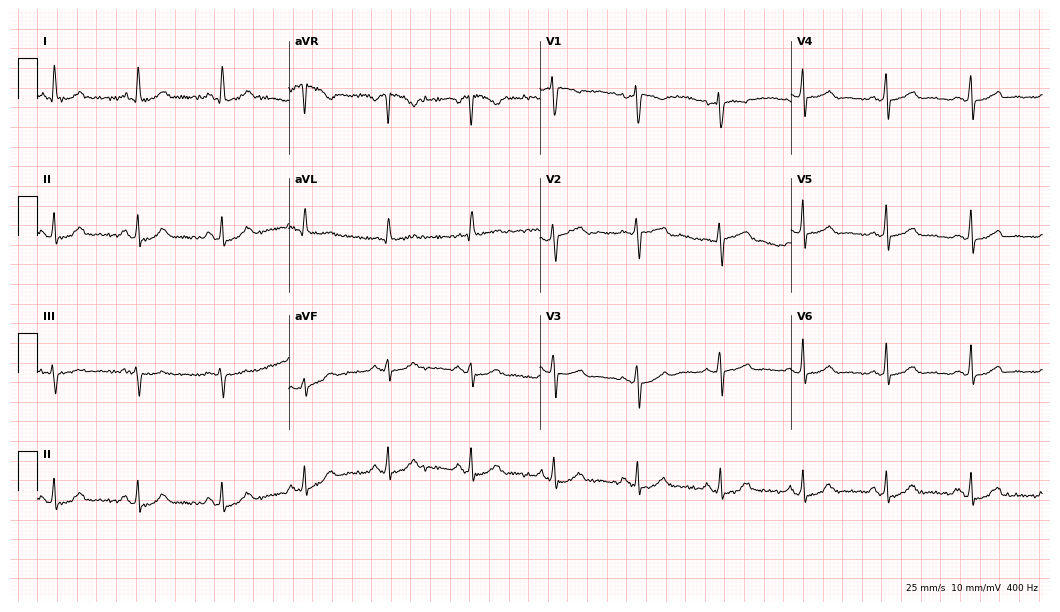
Standard 12-lead ECG recorded from a female patient, 54 years old (10.2-second recording at 400 Hz). Read as a normal ECG.